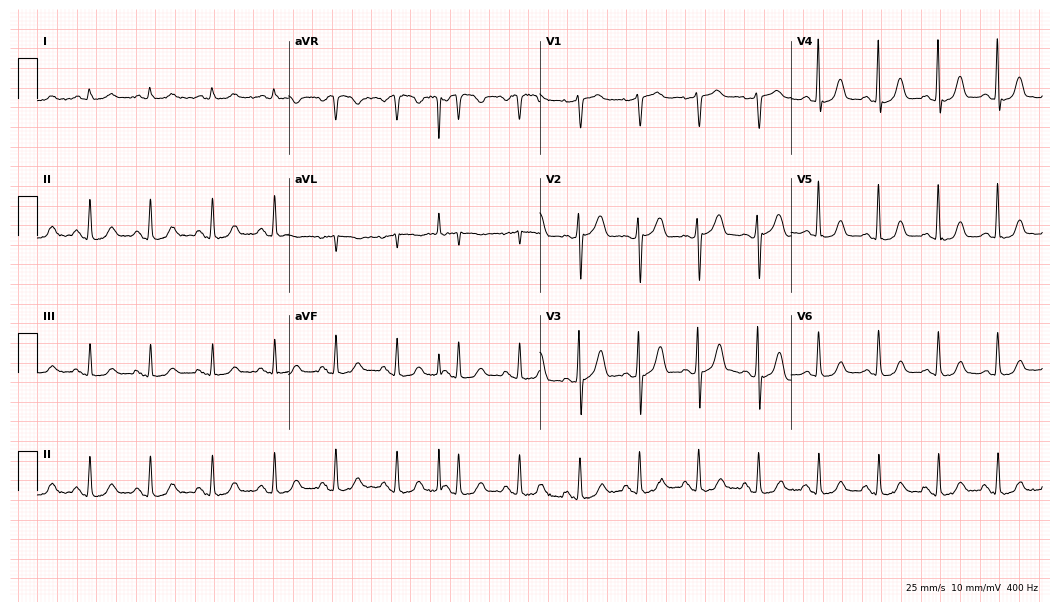
12-lead ECG from a female patient, 61 years old. Labelled as a normal ECG.